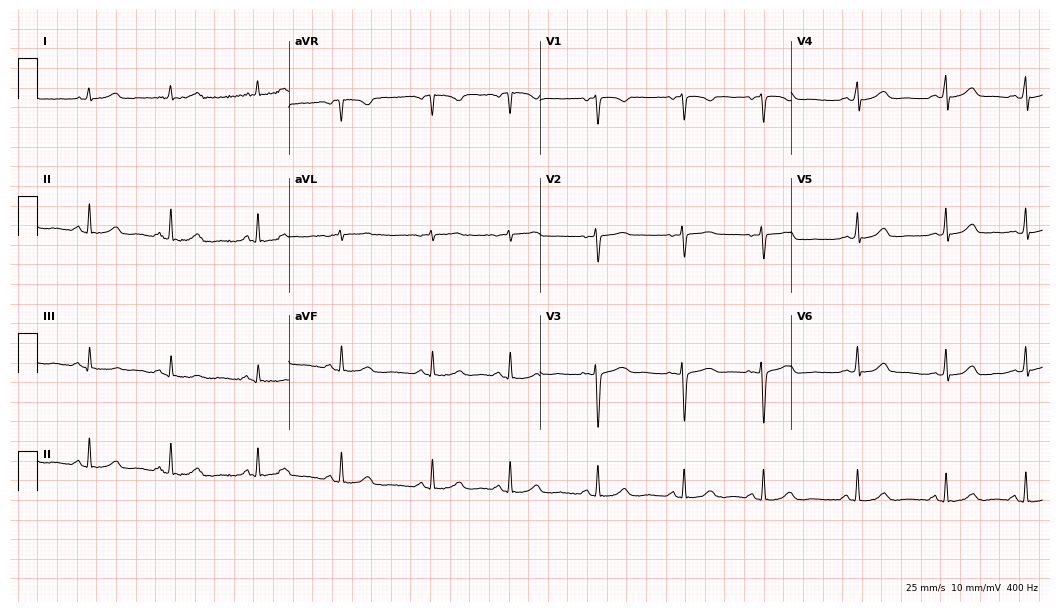
Resting 12-lead electrocardiogram. Patient: a 22-year-old female. Read as a normal ECG.